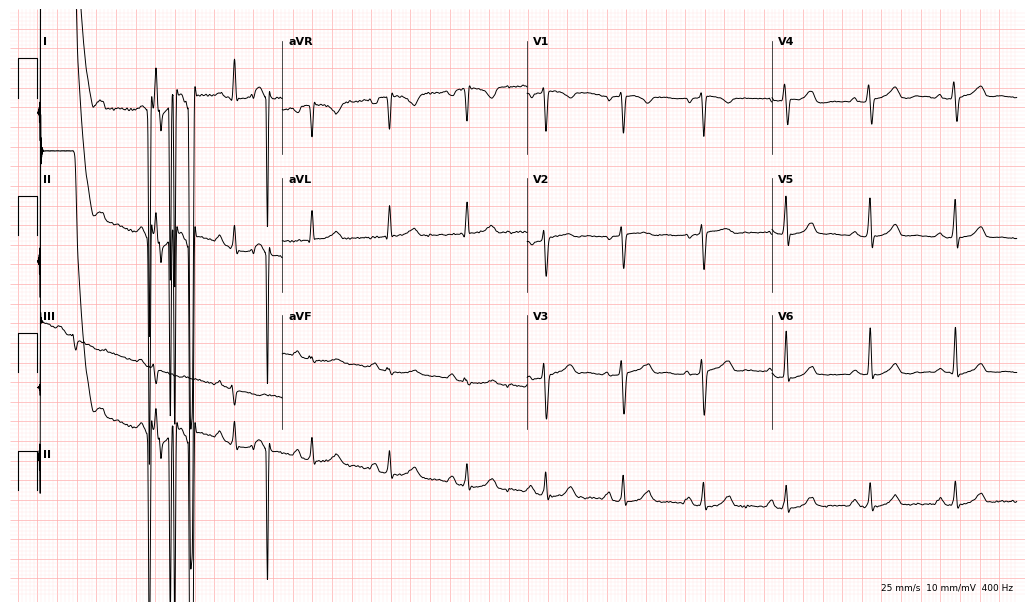
12-lead ECG from a female patient, 48 years old (10-second recording at 400 Hz). No first-degree AV block, right bundle branch block (RBBB), left bundle branch block (LBBB), sinus bradycardia, atrial fibrillation (AF) or sinus tachycardia recorded for this tracing. Only these six findings were labelled.